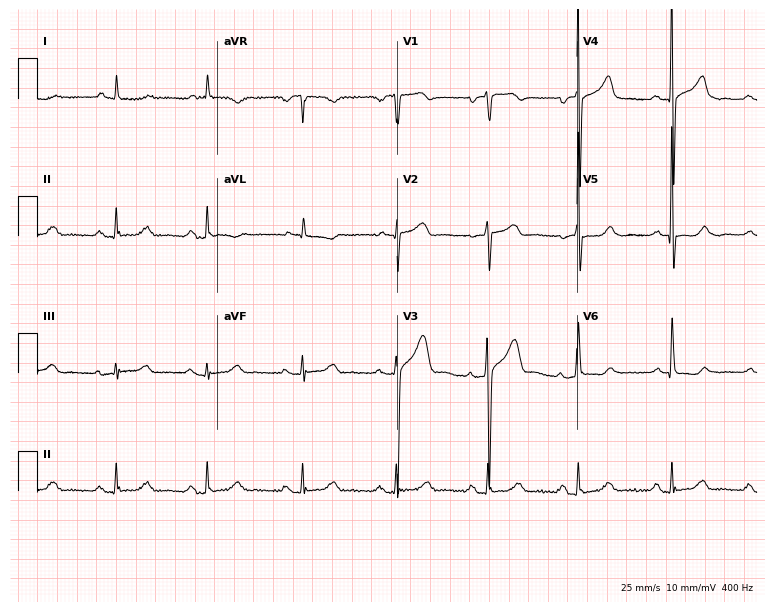
Resting 12-lead electrocardiogram. Patient: a 69-year-old female. Read as a normal ECG.